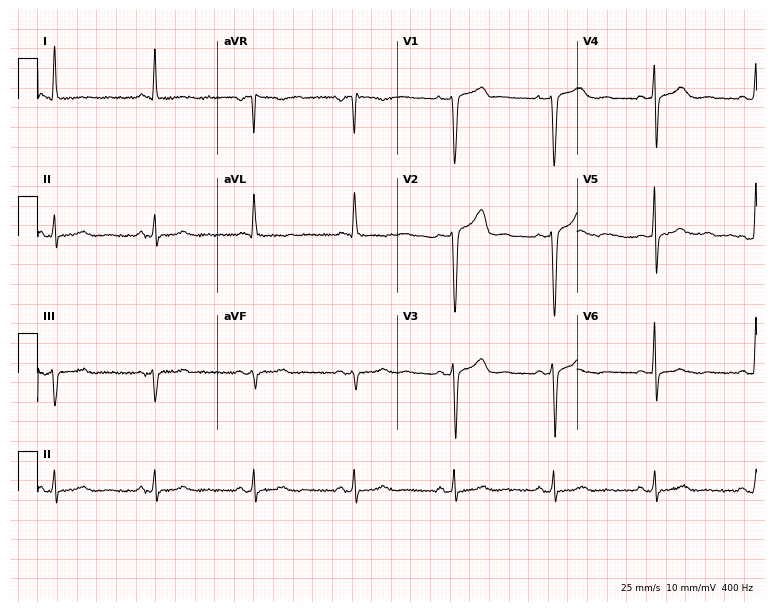
Electrocardiogram, a 60-year-old woman. Overall reading on record: normal ECG.